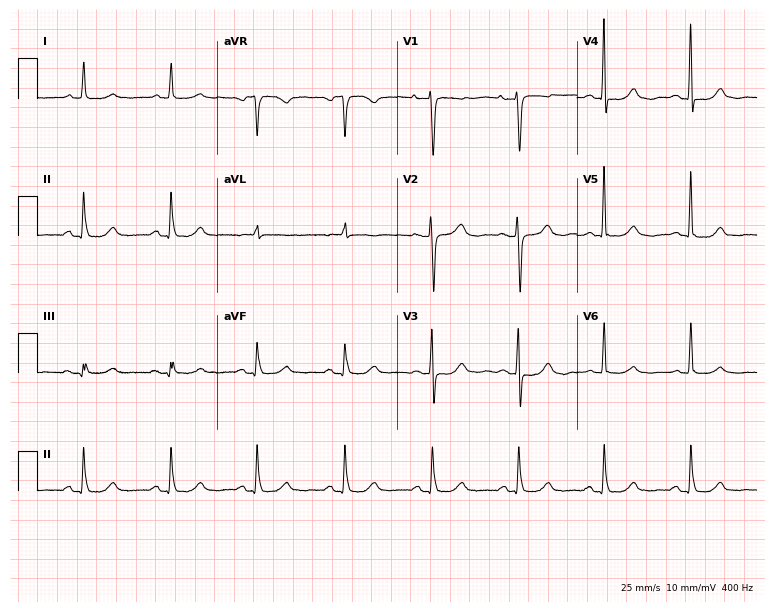
12-lead ECG from a 76-year-old woman. No first-degree AV block, right bundle branch block (RBBB), left bundle branch block (LBBB), sinus bradycardia, atrial fibrillation (AF) or sinus tachycardia recorded for this tracing.